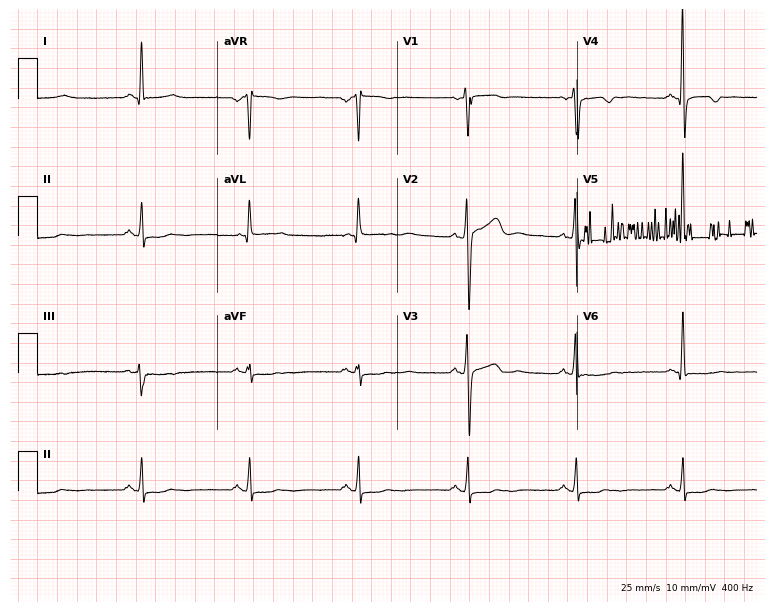
12-lead ECG from a male, 60 years old (7.3-second recording at 400 Hz). No first-degree AV block, right bundle branch block (RBBB), left bundle branch block (LBBB), sinus bradycardia, atrial fibrillation (AF) or sinus tachycardia recorded for this tracing.